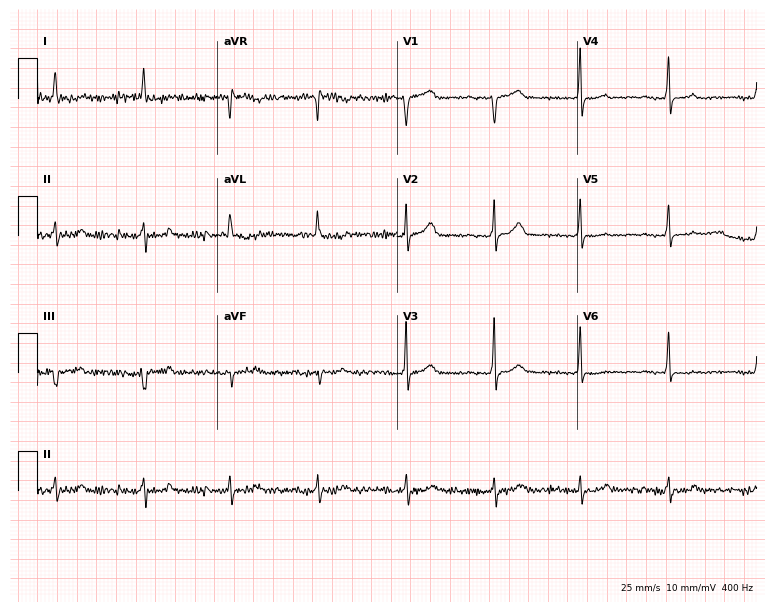
12-lead ECG from an 83-year-old woman. Screened for six findings — first-degree AV block, right bundle branch block, left bundle branch block, sinus bradycardia, atrial fibrillation, sinus tachycardia — none is recorded.